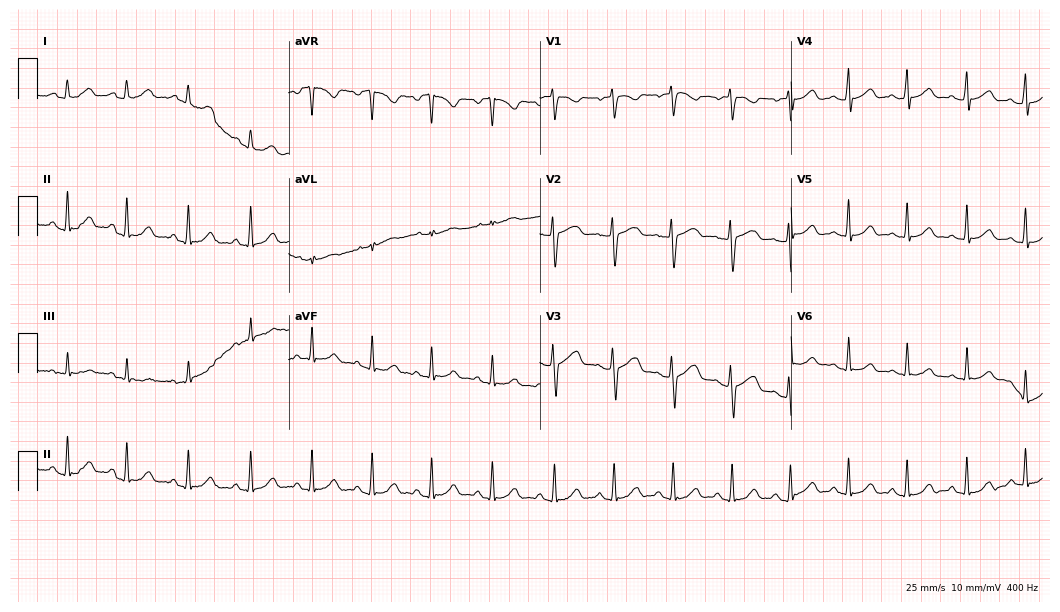
Electrocardiogram (10.2-second recording at 400 Hz), a female, 17 years old. Of the six screened findings (first-degree AV block, right bundle branch block (RBBB), left bundle branch block (LBBB), sinus bradycardia, atrial fibrillation (AF), sinus tachycardia), none is recorded.